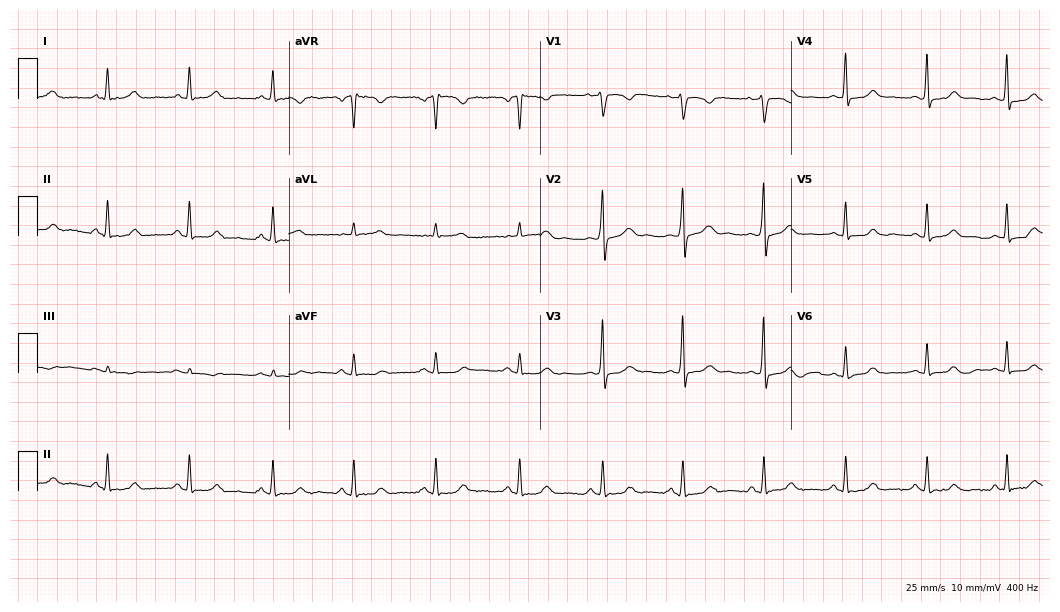
Resting 12-lead electrocardiogram. Patient: a female, 37 years old. Read as a normal ECG.